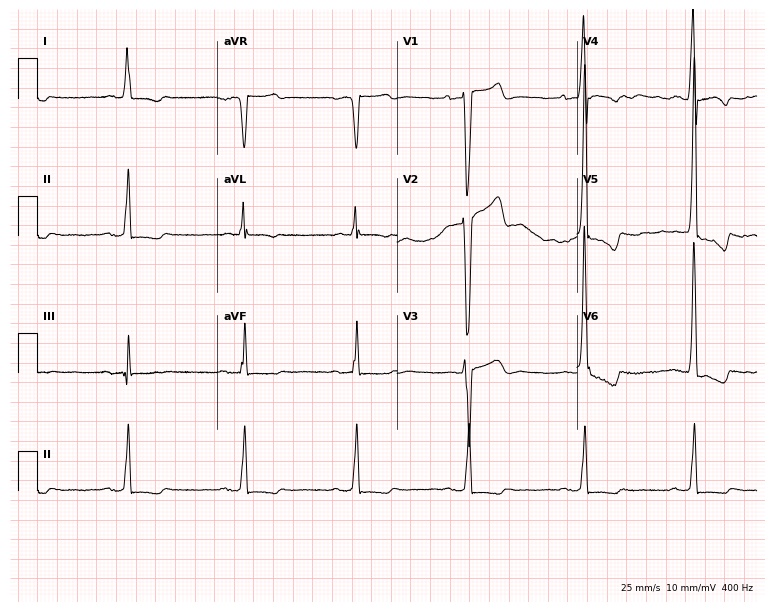
12-lead ECG (7.3-second recording at 400 Hz) from a 74-year-old male patient. Screened for six findings — first-degree AV block, right bundle branch block, left bundle branch block, sinus bradycardia, atrial fibrillation, sinus tachycardia — none is recorded.